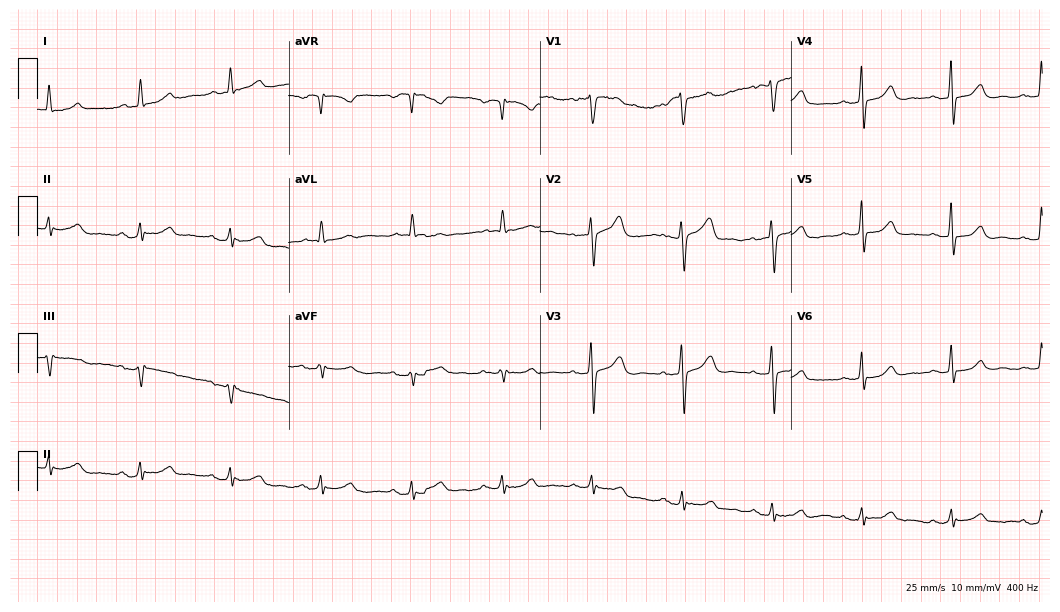
Electrocardiogram, a 67-year-old woman. Overall reading on record: normal ECG.